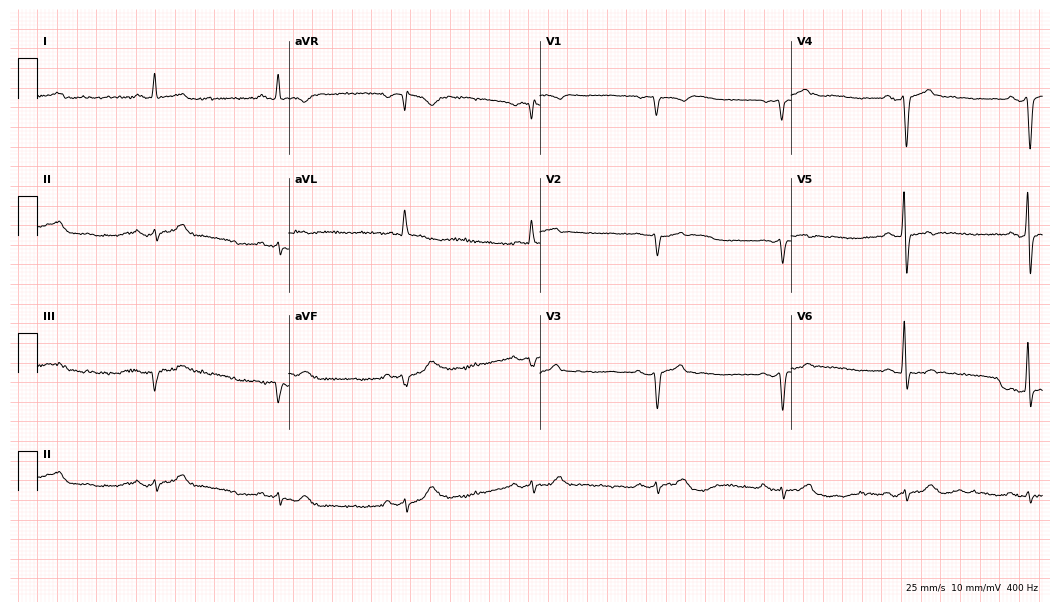
ECG (10.2-second recording at 400 Hz) — a 65-year-old male patient. Screened for six findings — first-degree AV block, right bundle branch block (RBBB), left bundle branch block (LBBB), sinus bradycardia, atrial fibrillation (AF), sinus tachycardia — none is recorded. Findings outside these six are not listed.